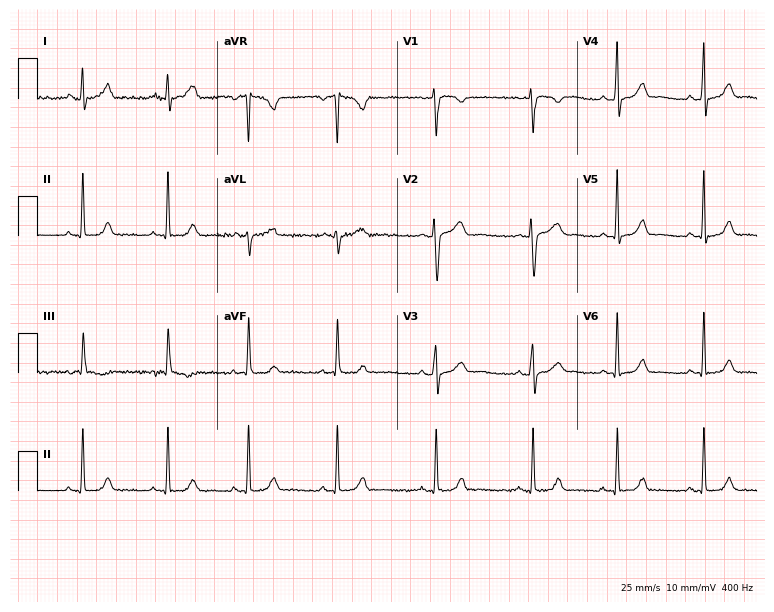
12-lead ECG from a female, 33 years old. Screened for six findings — first-degree AV block, right bundle branch block (RBBB), left bundle branch block (LBBB), sinus bradycardia, atrial fibrillation (AF), sinus tachycardia — none is recorded. Findings outside these six are not listed.